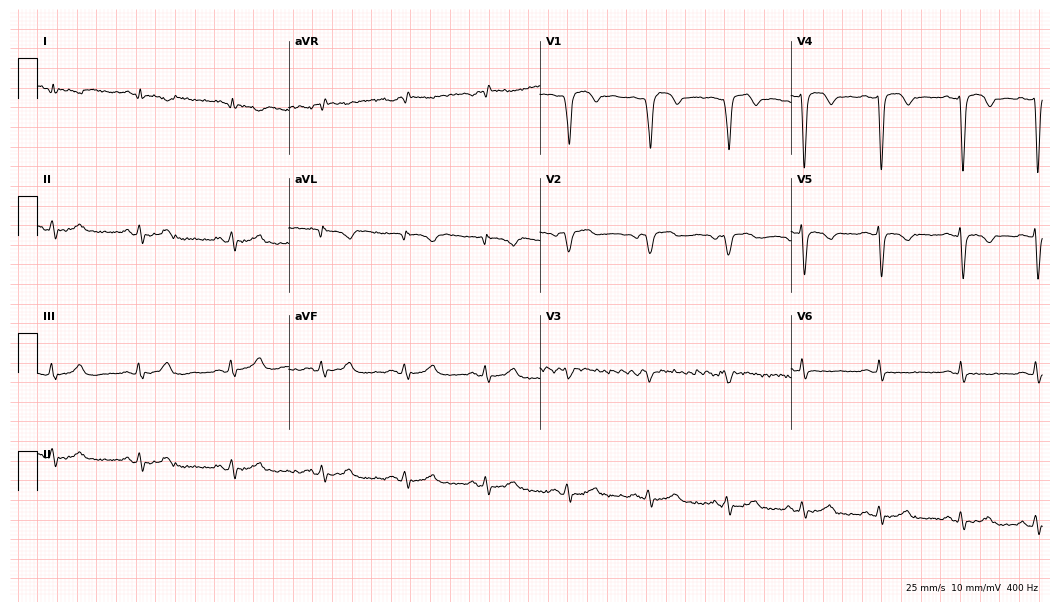
ECG (10.2-second recording at 400 Hz) — a 63-year-old male patient. Screened for six findings — first-degree AV block, right bundle branch block, left bundle branch block, sinus bradycardia, atrial fibrillation, sinus tachycardia — none is recorded. Other findings, if any, are not listed.